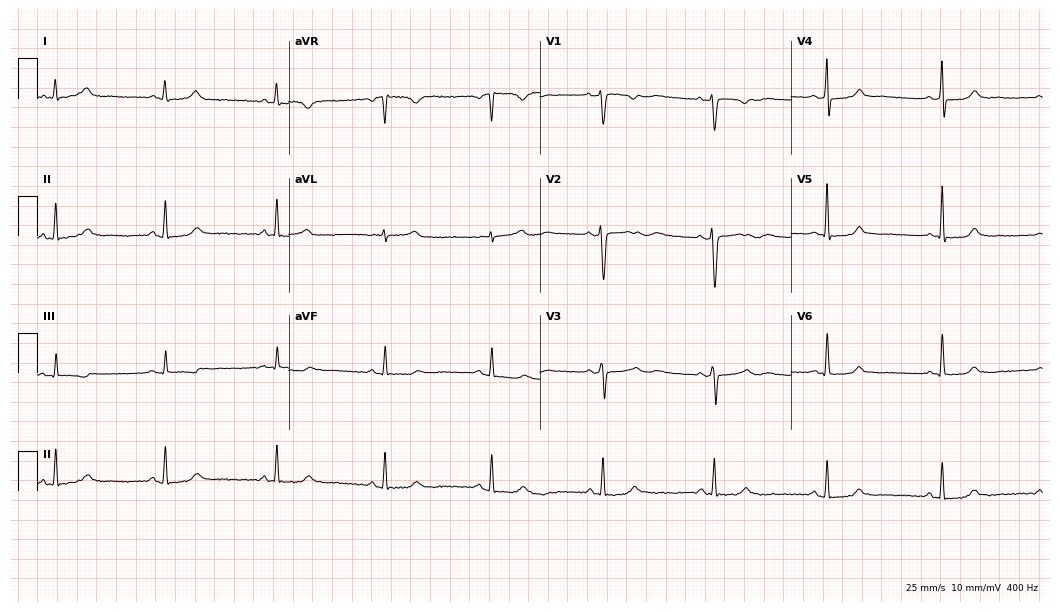
12-lead ECG from a female, 48 years old. Recorded interpretation: within normal limits.